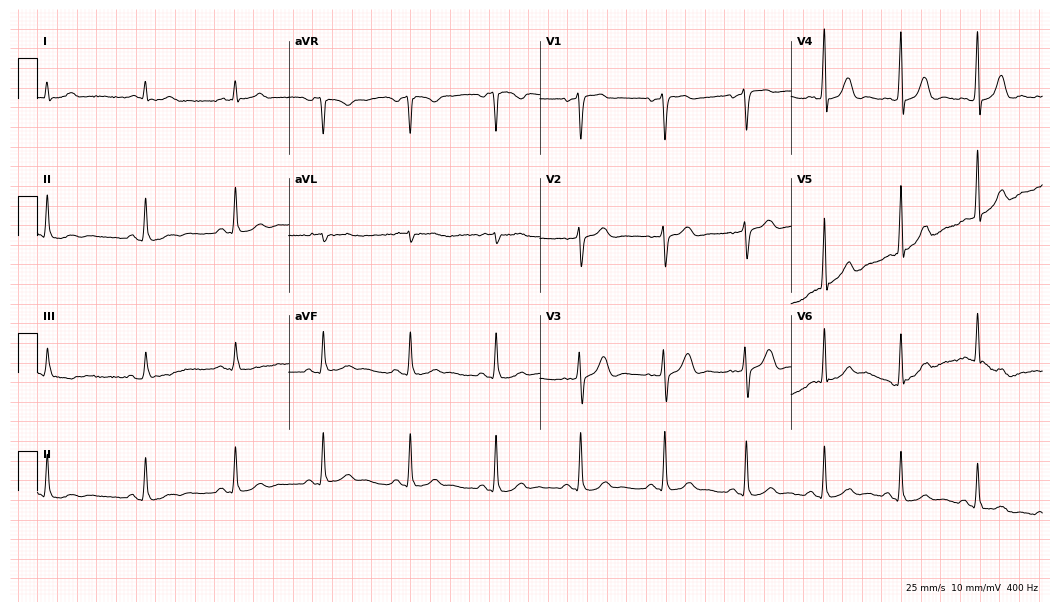
Electrocardiogram (10.2-second recording at 400 Hz), a male, 54 years old. Overall reading on record: normal ECG.